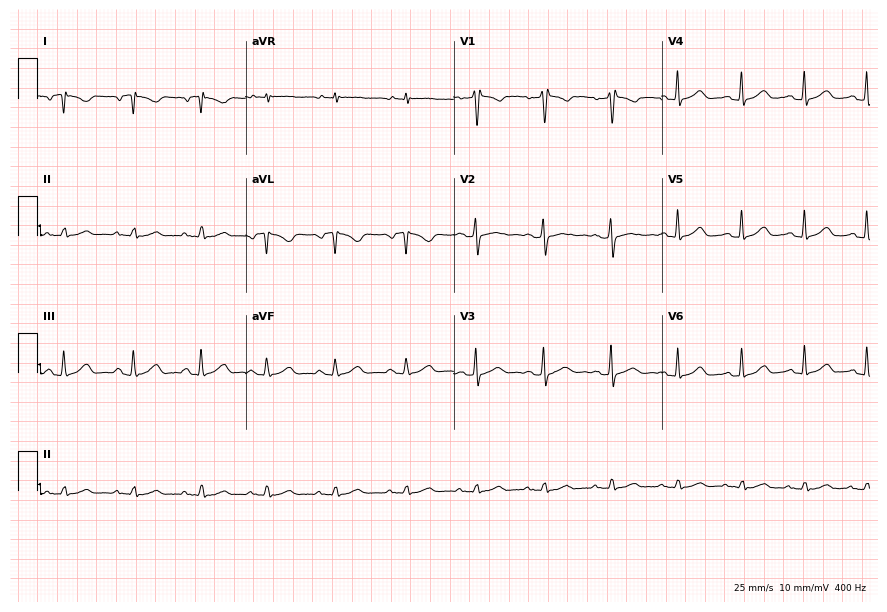
12-lead ECG from a 46-year-old woman. Recorded interpretation: within normal limits.